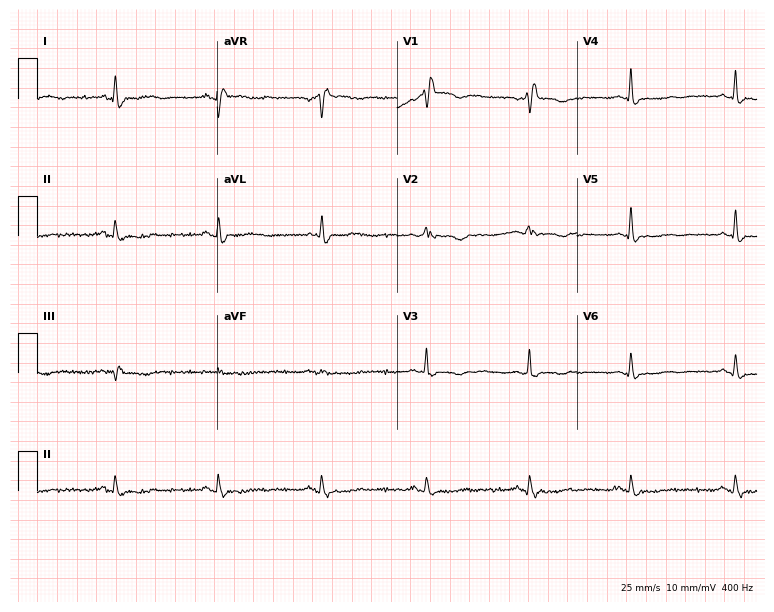
ECG (7.3-second recording at 400 Hz) — a 54-year-old female patient. Screened for six findings — first-degree AV block, right bundle branch block, left bundle branch block, sinus bradycardia, atrial fibrillation, sinus tachycardia — none is recorded. Other findings, if any, are not listed.